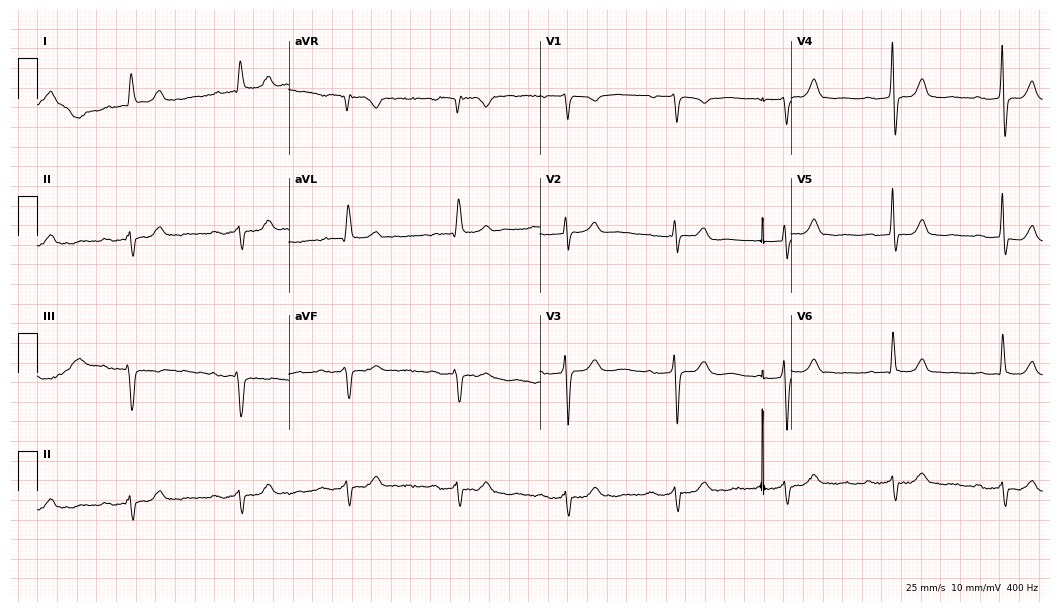
12-lead ECG from a 72-year-old female patient. No first-degree AV block, right bundle branch block (RBBB), left bundle branch block (LBBB), sinus bradycardia, atrial fibrillation (AF) or sinus tachycardia recorded for this tracing.